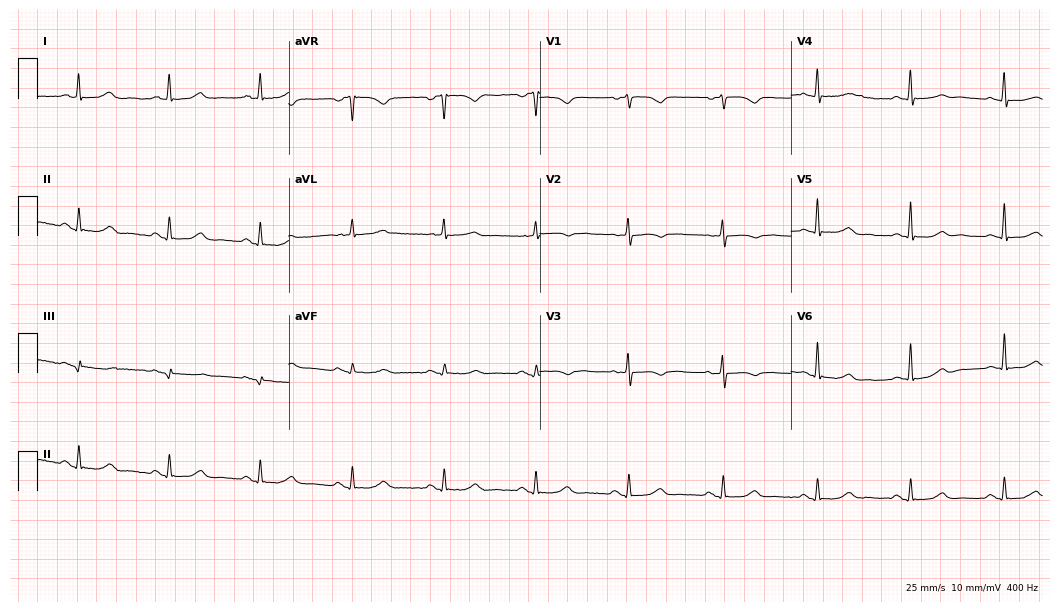
ECG (10.2-second recording at 400 Hz) — an 80-year-old woman. Screened for six findings — first-degree AV block, right bundle branch block, left bundle branch block, sinus bradycardia, atrial fibrillation, sinus tachycardia — none is recorded.